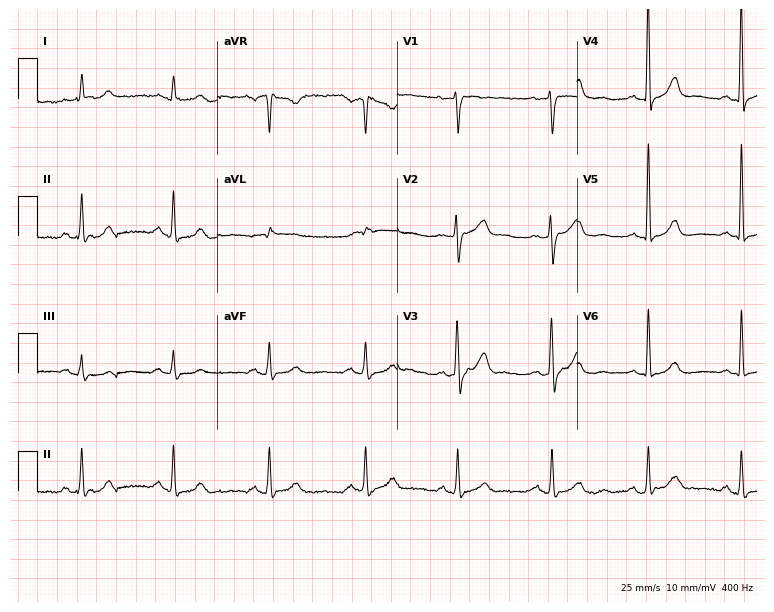
12-lead ECG from a male, 69 years old. No first-degree AV block, right bundle branch block (RBBB), left bundle branch block (LBBB), sinus bradycardia, atrial fibrillation (AF) or sinus tachycardia recorded for this tracing. Findings outside these six are not listed.